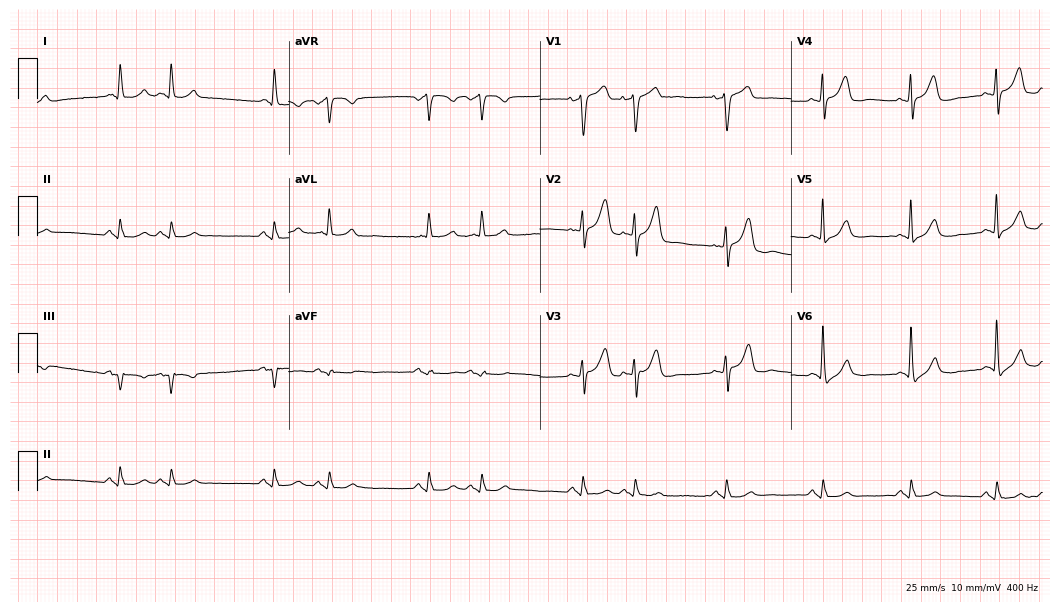
Electrocardiogram (10.2-second recording at 400 Hz), a male patient, 75 years old. Of the six screened findings (first-degree AV block, right bundle branch block (RBBB), left bundle branch block (LBBB), sinus bradycardia, atrial fibrillation (AF), sinus tachycardia), none is recorded. Findings outside these six are not listed.